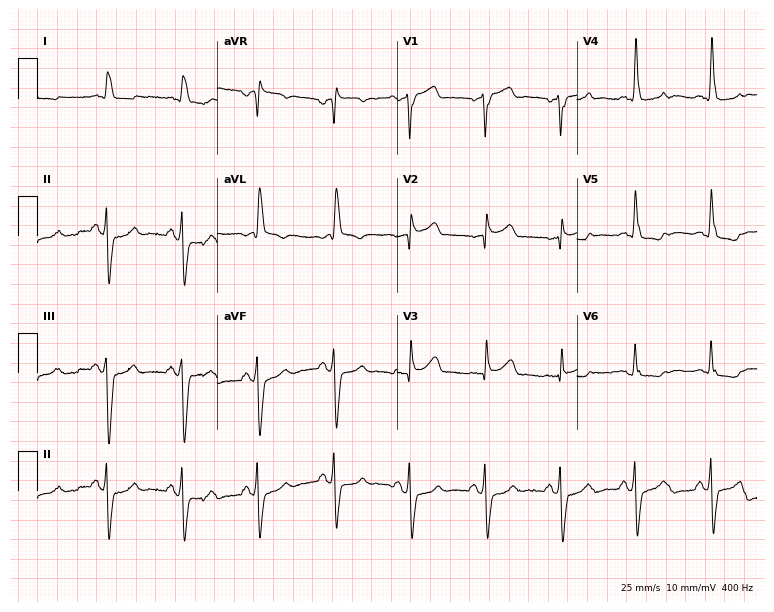
12-lead ECG from a 75-year-old male patient. No first-degree AV block, right bundle branch block, left bundle branch block, sinus bradycardia, atrial fibrillation or sinus tachycardia recorded for this tracing. Other findings, if any, are not listed.